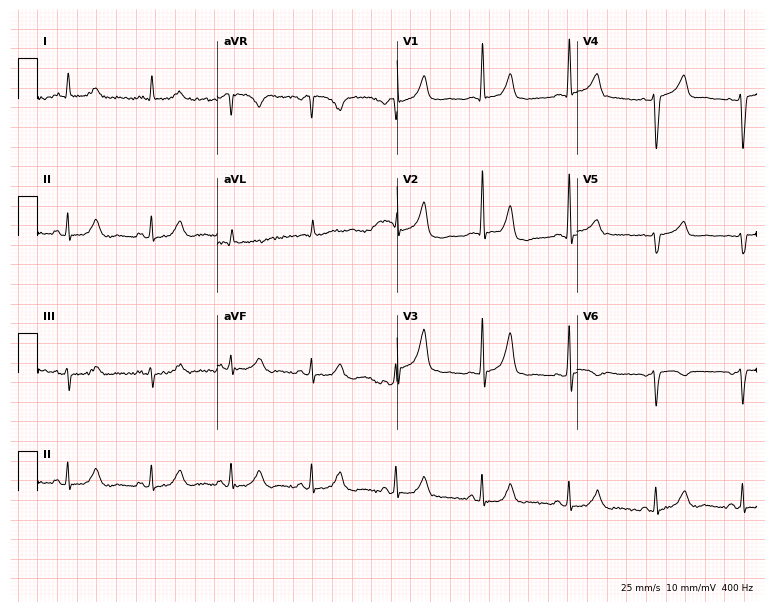
Resting 12-lead electrocardiogram. Patient: a female, 66 years old. None of these six findings is recorded: first-degree AV block, right bundle branch block, left bundle branch block, sinus bradycardia, atrial fibrillation, sinus tachycardia. Findings outside these six are not listed.